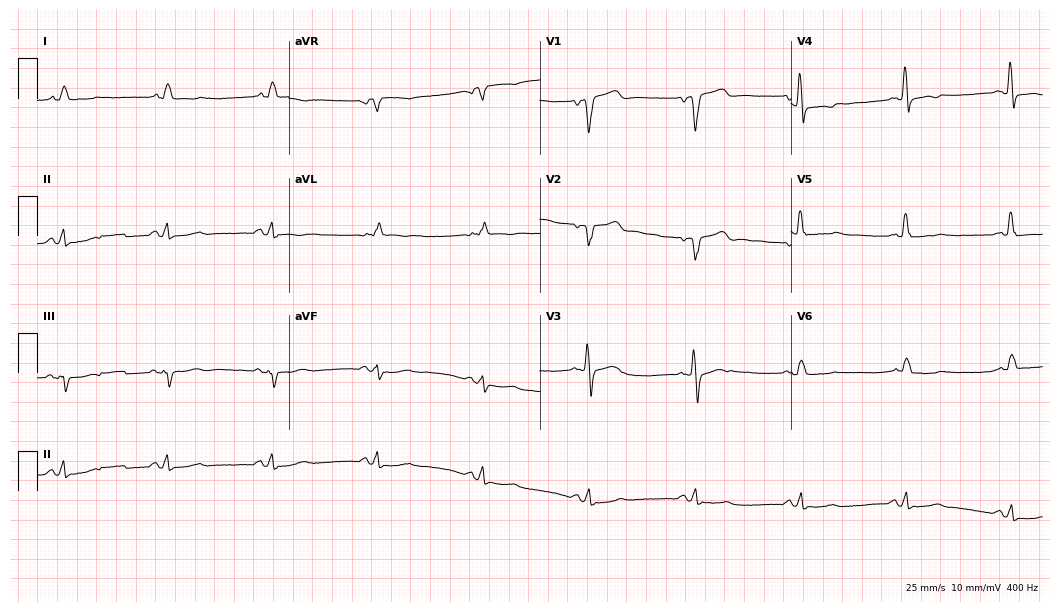
ECG (10.2-second recording at 400 Hz) — a 66-year-old man. Screened for six findings — first-degree AV block, right bundle branch block (RBBB), left bundle branch block (LBBB), sinus bradycardia, atrial fibrillation (AF), sinus tachycardia — none is recorded.